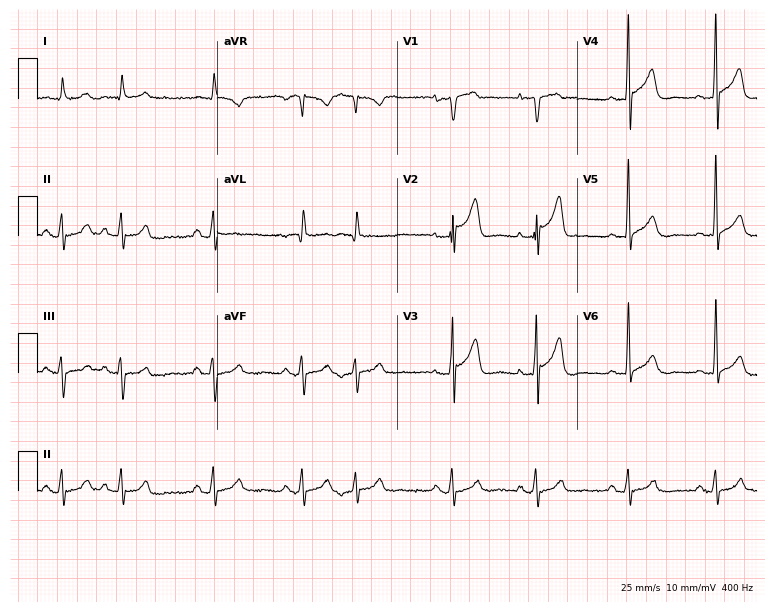
12-lead ECG (7.3-second recording at 400 Hz) from a male patient, 84 years old. Screened for six findings — first-degree AV block, right bundle branch block, left bundle branch block, sinus bradycardia, atrial fibrillation, sinus tachycardia — none is recorded.